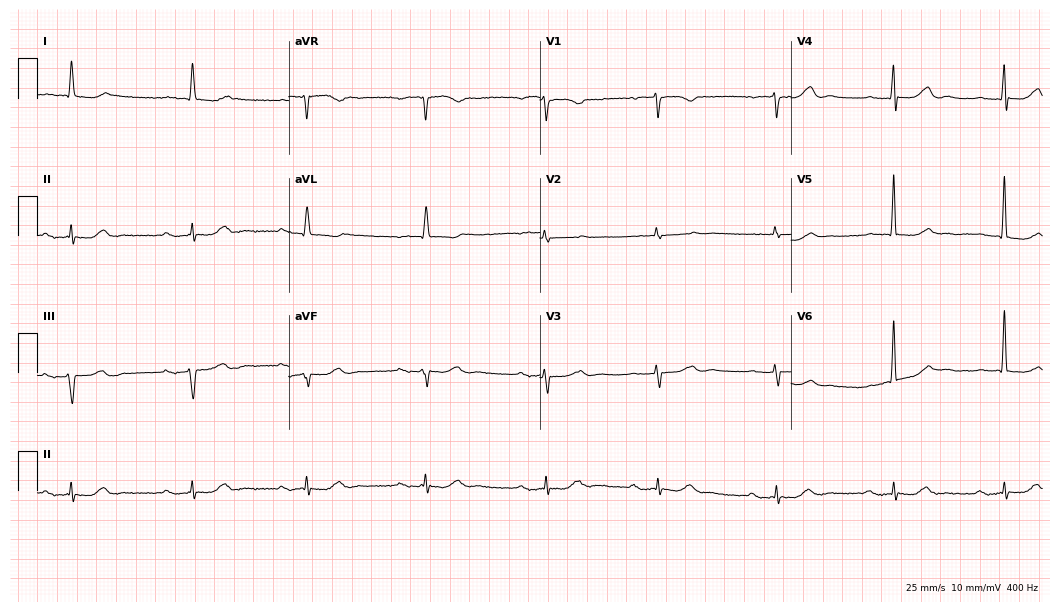
Standard 12-lead ECG recorded from a female patient, 78 years old (10.2-second recording at 400 Hz). None of these six findings is recorded: first-degree AV block, right bundle branch block, left bundle branch block, sinus bradycardia, atrial fibrillation, sinus tachycardia. Other findings, if any, are not listed.